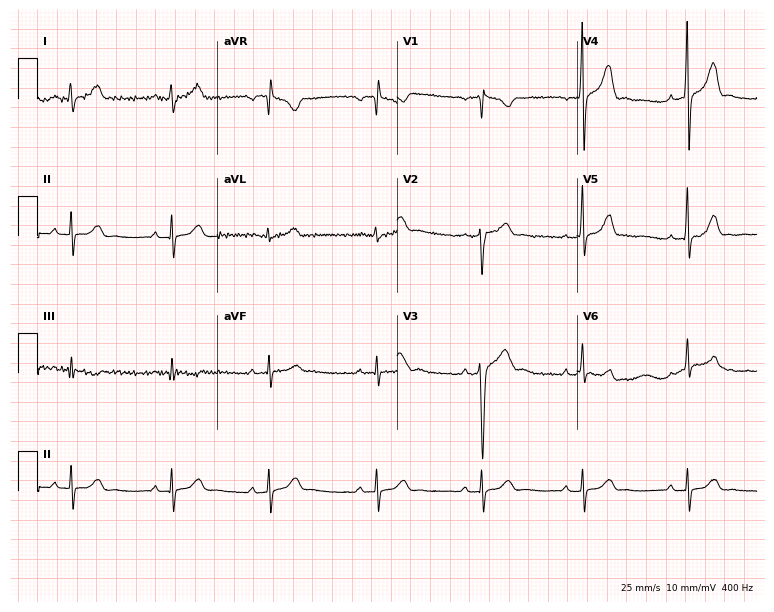
Resting 12-lead electrocardiogram. Patient: a man, 35 years old. Read as a normal ECG.